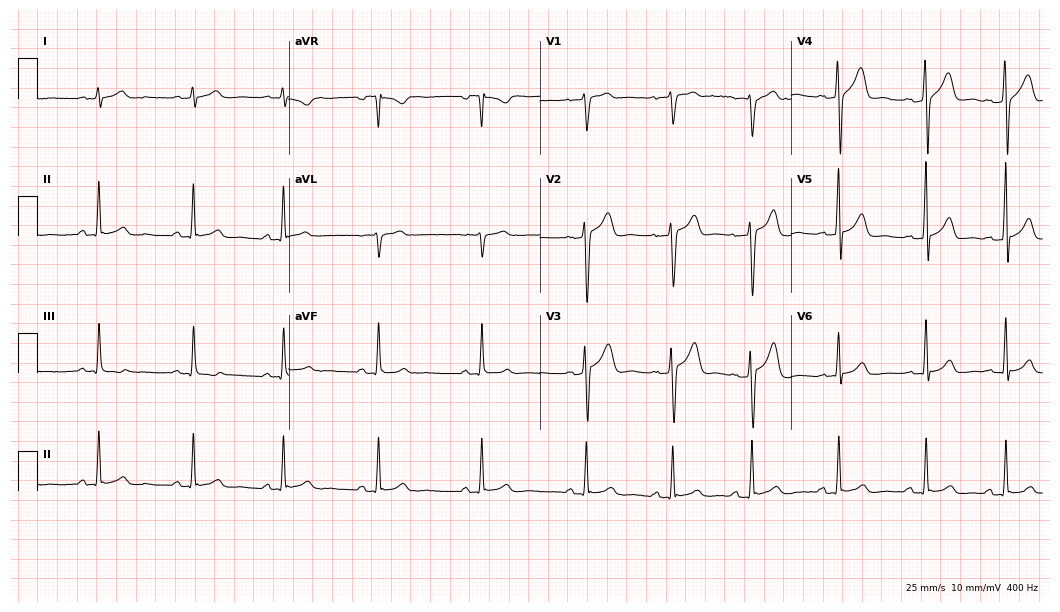
Resting 12-lead electrocardiogram. Patient: a man, 27 years old. None of these six findings is recorded: first-degree AV block, right bundle branch block (RBBB), left bundle branch block (LBBB), sinus bradycardia, atrial fibrillation (AF), sinus tachycardia.